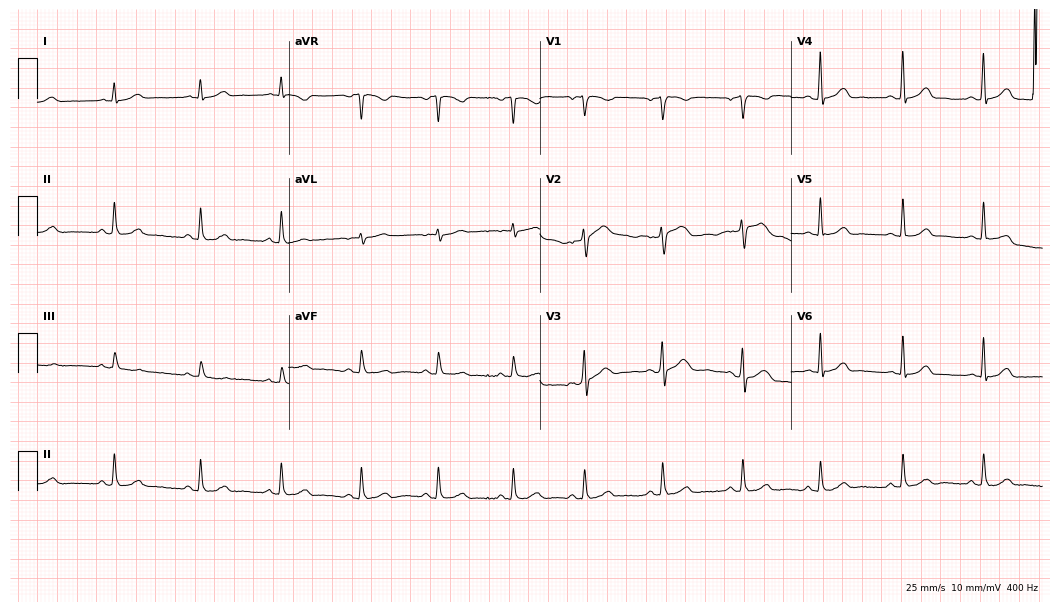
ECG (10.2-second recording at 400 Hz) — a 47-year-old female. Labelled as a normal ECG.